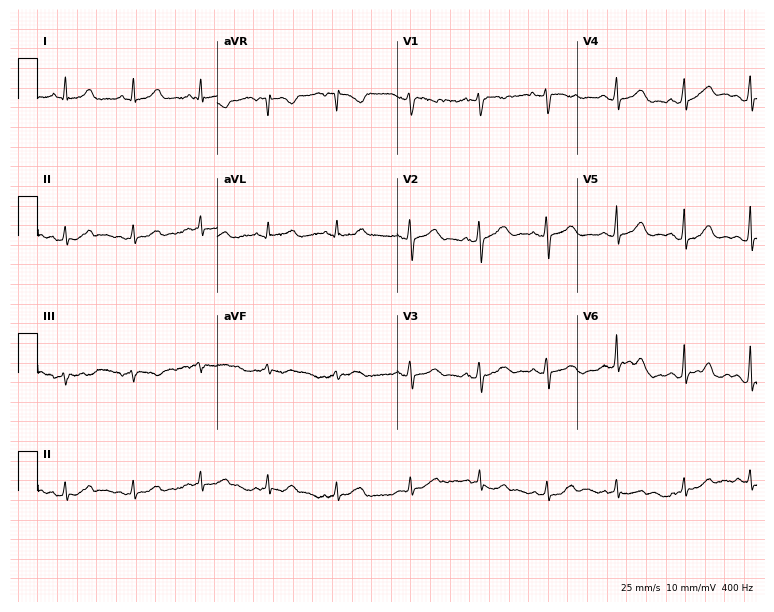
12-lead ECG from a 43-year-old female (7.3-second recording at 400 Hz). Recorded interpretation: within normal limits.